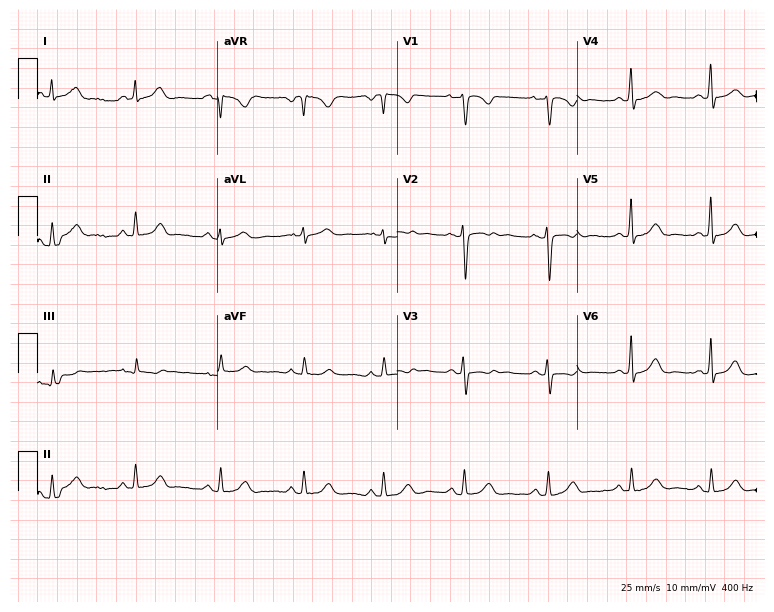
ECG — a female, 34 years old. Screened for six findings — first-degree AV block, right bundle branch block, left bundle branch block, sinus bradycardia, atrial fibrillation, sinus tachycardia — none is recorded. Only these six findings were labelled.